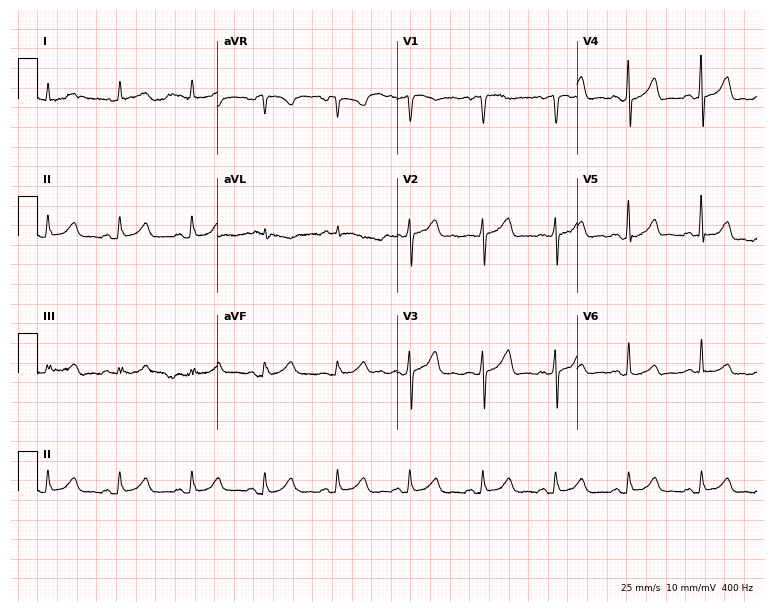
Resting 12-lead electrocardiogram (7.3-second recording at 400 Hz). Patient: a 61-year-old female. Read as a normal ECG.